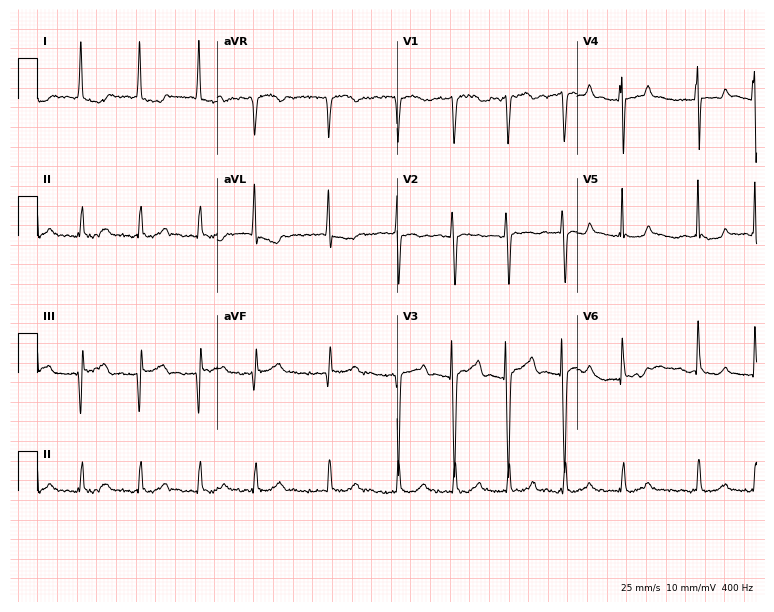
Resting 12-lead electrocardiogram (7.3-second recording at 400 Hz). Patient: a female, 73 years old. The tracing shows atrial fibrillation (AF).